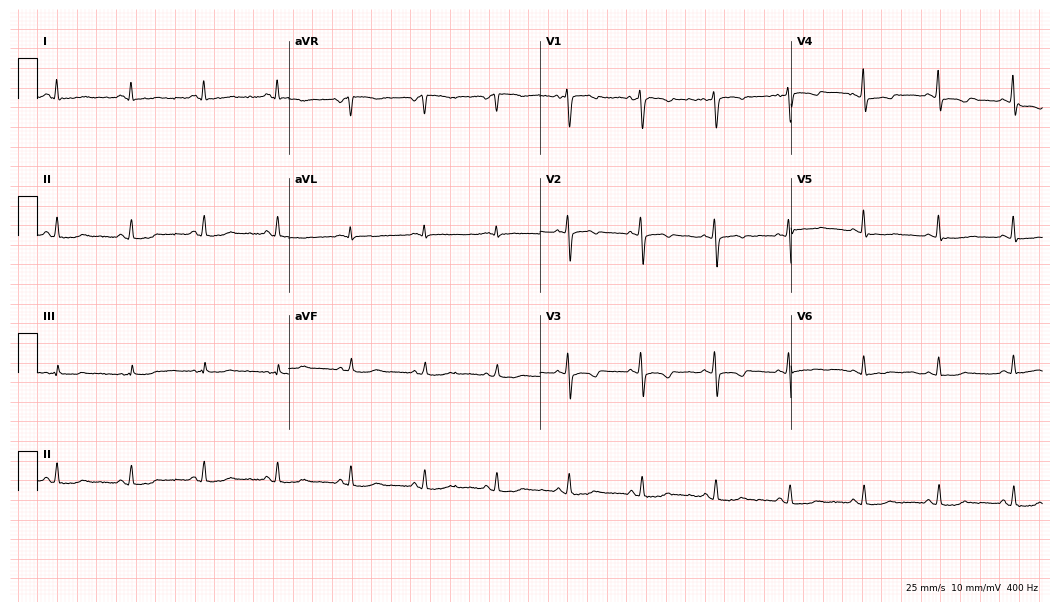
Resting 12-lead electrocardiogram. Patient: a 39-year-old female. None of these six findings is recorded: first-degree AV block, right bundle branch block, left bundle branch block, sinus bradycardia, atrial fibrillation, sinus tachycardia.